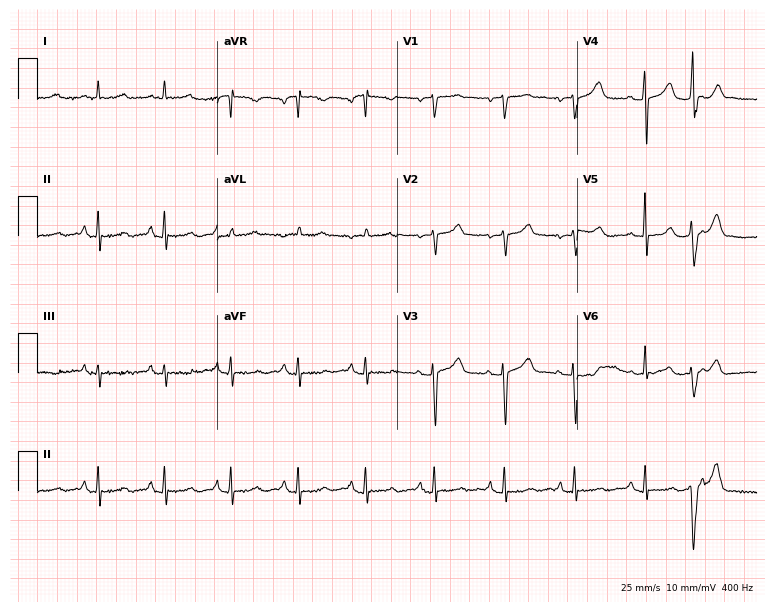
Resting 12-lead electrocardiogram. Patient: a female, 83 years old. None of these six findings is recorded: first-degree AV block, right bundle branch block, left bundle branch block, sinus bradycardia, atrial fibrillation, sinus tachycardia. Other findings, if any, are not listed.